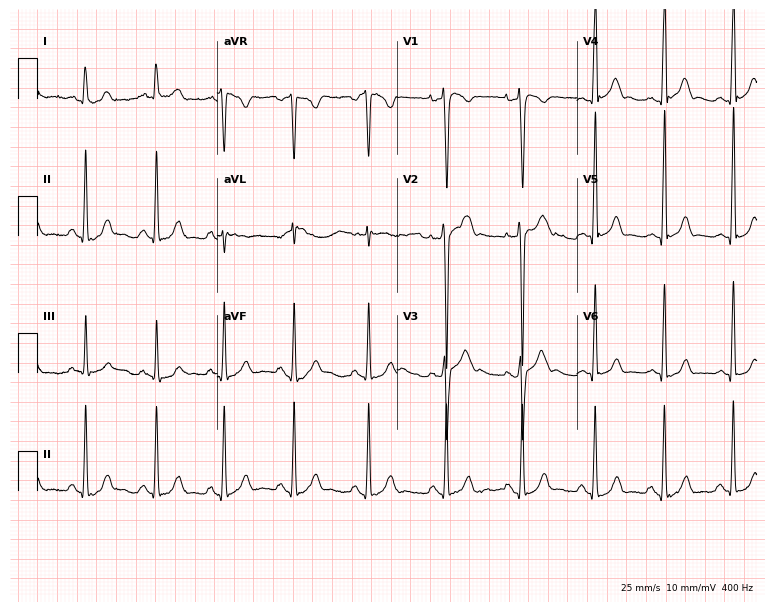
ECG (7.3-second recording at 400 Hz) — a man, 18 years old. Labelled as a normal ECG.